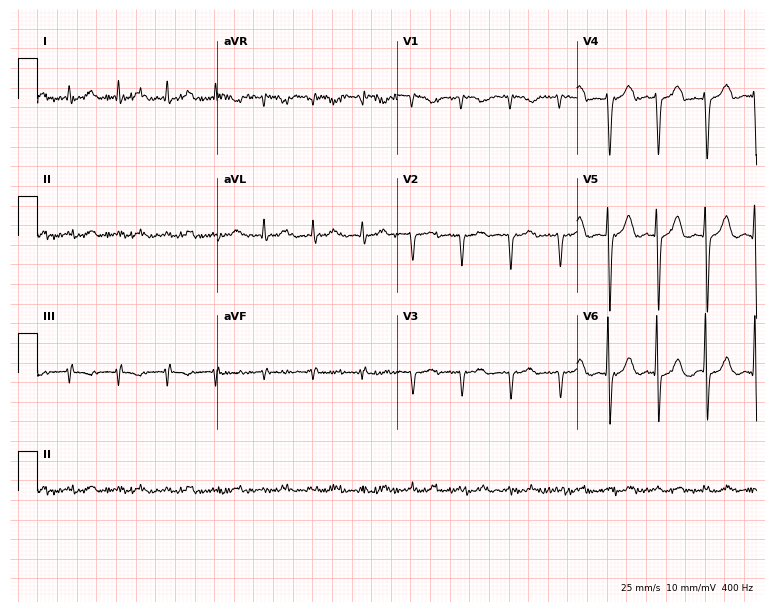
ECG — a man, 79 years old. Findings include sinus tachycardia (a sinus rate of 100 beats per minute or more).